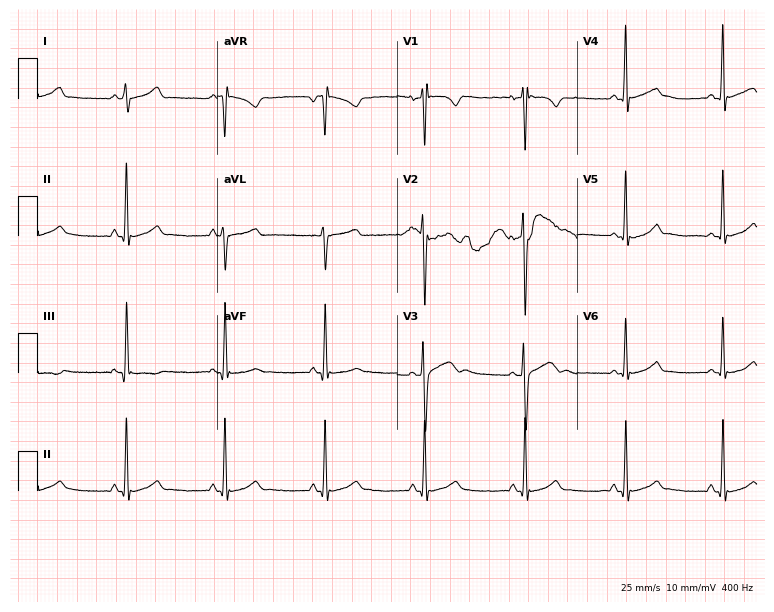
Resting 12-lead electrocardiogram (7.3-second recording at 400 Hz). Patient: a man, 36 years old. Read as a normal ECG.